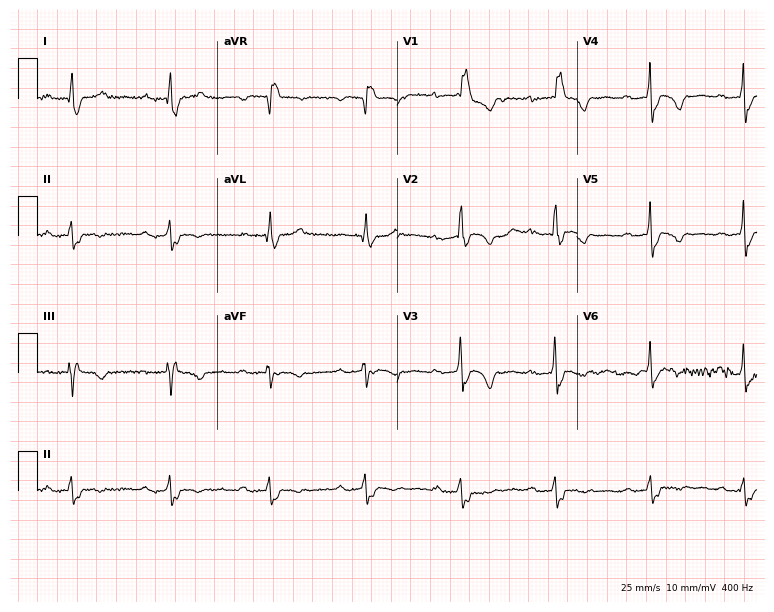
Electrocardiogram (7.3-second recording at 400 Hz), a female, 49 years old. Interpretation includes first-degree AV block, right bundle branch block.